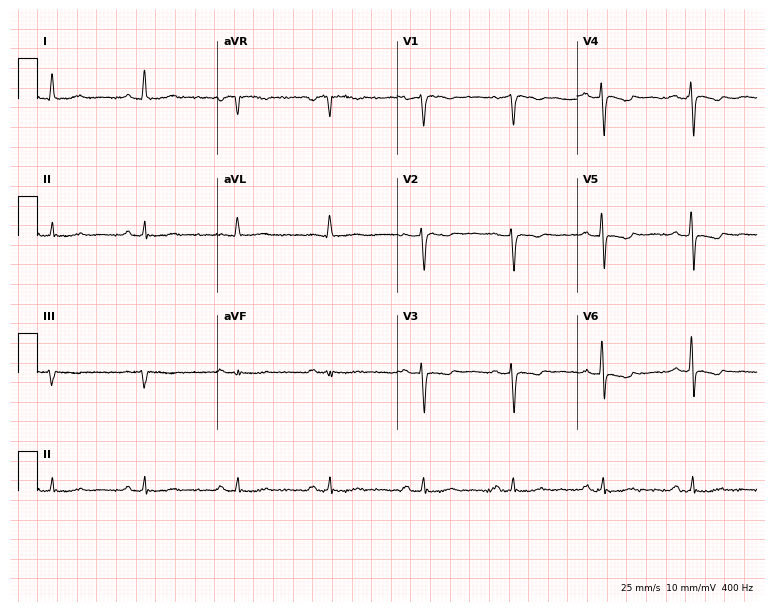
Resting 12-lead electrocardiogram. Patient: a female, 54 years old. None of these six findings is recorded: first-degree AV block, right bundle branch block, left bundle branch block, sinus bradycardia, atrial fibrillation, sinus tachycardia. Findings outside these six are not listed.